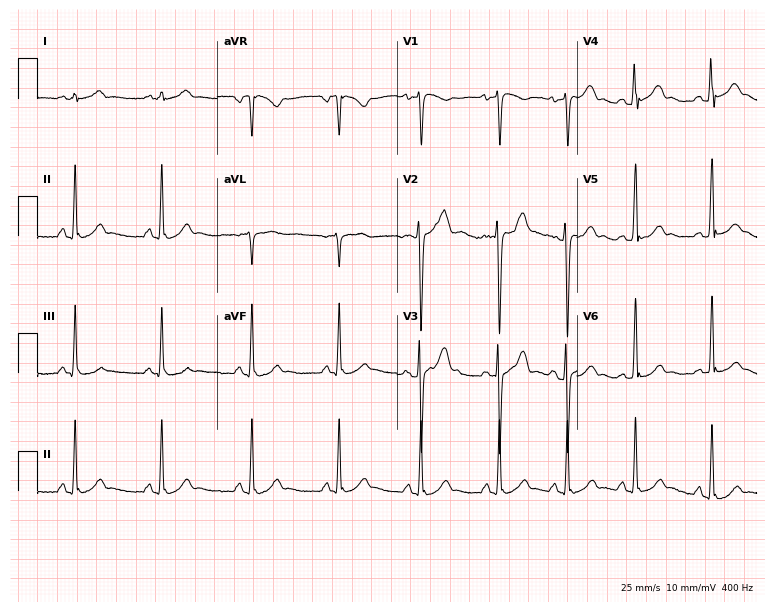
12-lead ECG (7.3-second recording at 400 Hz) from a male patient, 23 years old. Labelled as a normal ECG.